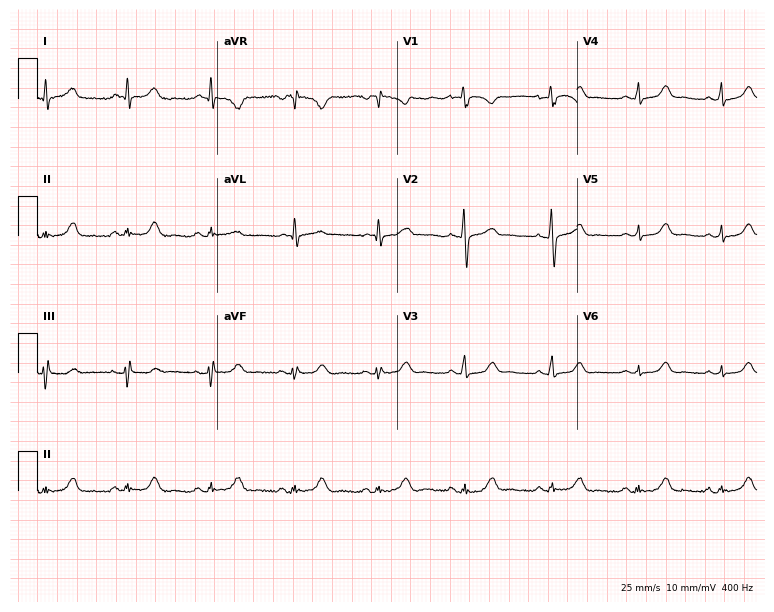
Electrocardiogram (7.3-second recording at 400 Hz), a woman, 48 years old. Of the six screened findings (first-degree AV block, right bundle branch block (RBBB), left bundle branch block (LBBB), sinus bradycardia, atrial fibrillation (AF), sinus tachycardia), none is recorded.